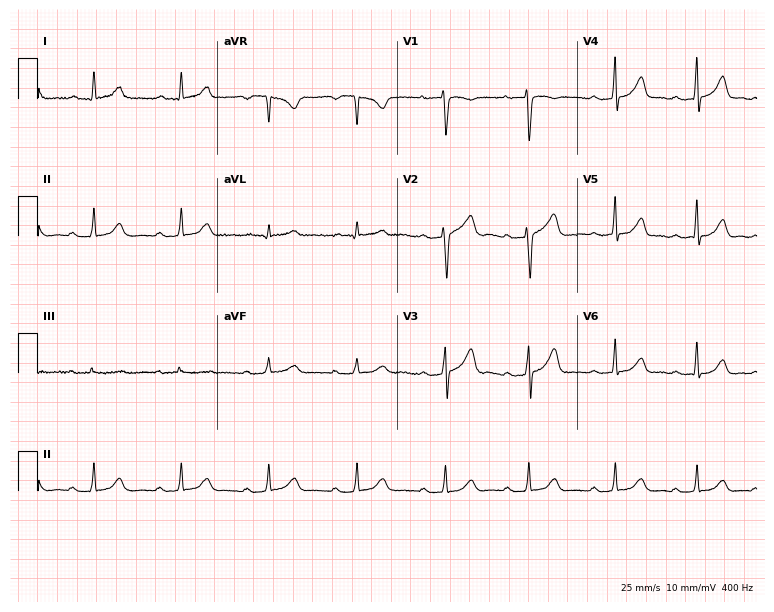
Electrocardiogram, a female patient, 36 years old. Interpretation includes first-degree AV block.